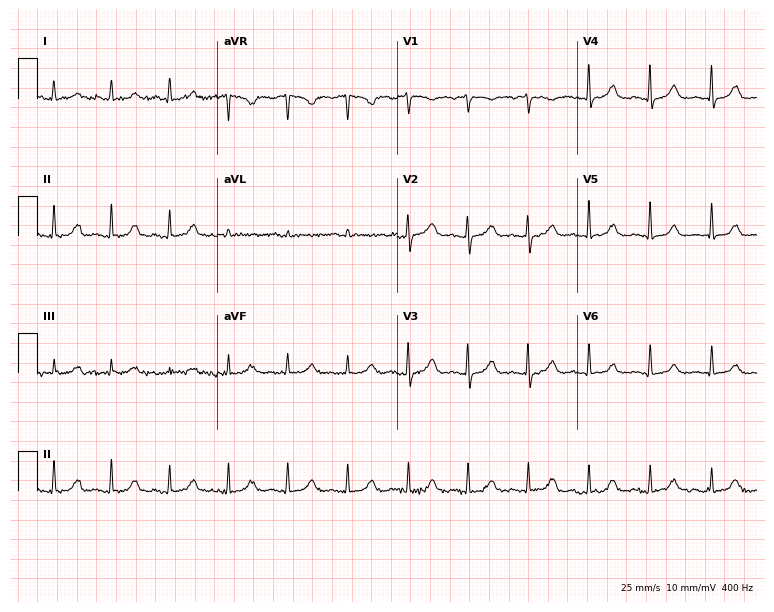
Electrocardiogram, a female patient, 64 years old. Overall reading on record: normal ECG.